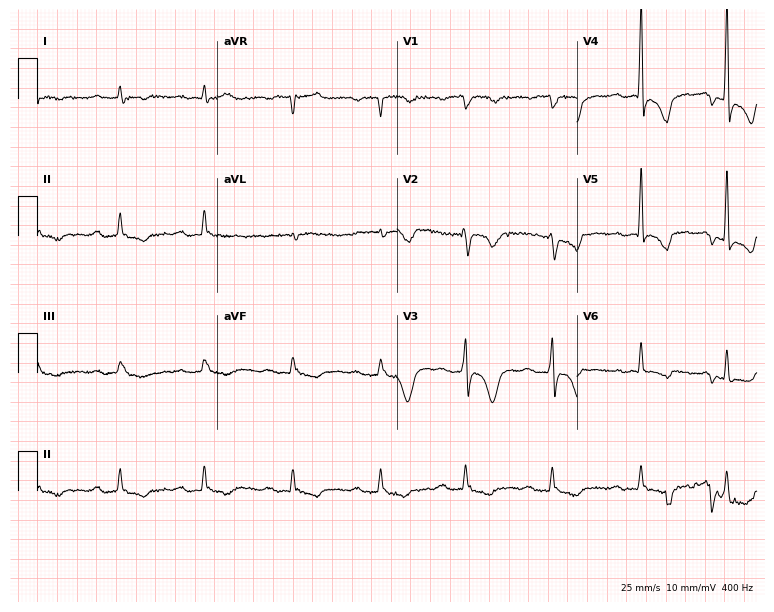
Standard 12-lead ECG recorded from a 78-year-old male. The tracing shows first-degree AV block.